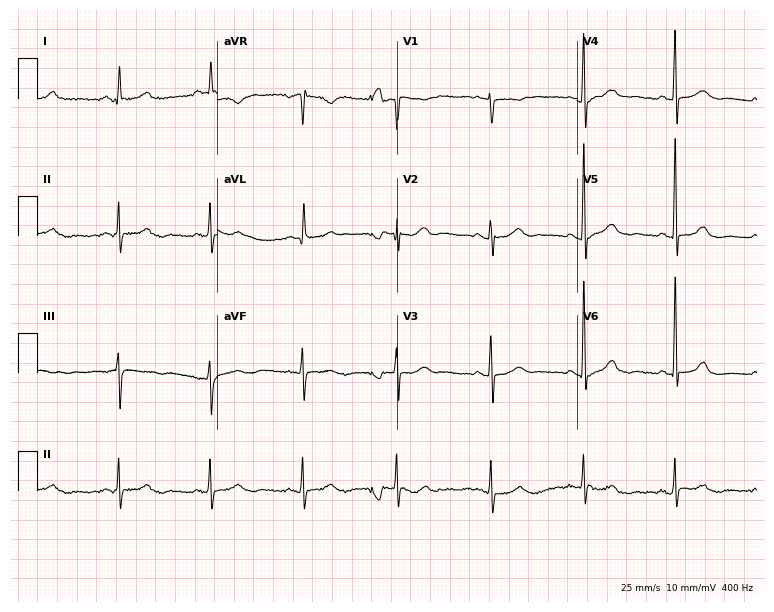
12-lead ECG from a woman, 64 years old. No first-degree AV block, right bundle branch block, left bundle branch block, sinus bradycardia, atrial fibrillation or sinus tachycardia recorded for this tracing. Other findings, if any, are not listed.